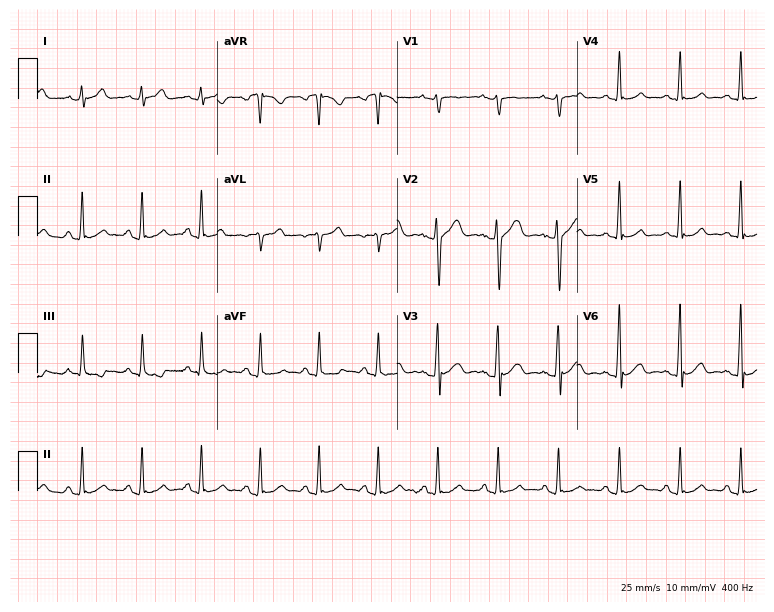
Standard 12-lead ECG recorded from a male patient, 24 years old. None of these six findings is recorded: first-degree AV block, right bundle branch block, left bundle branch block, sinus bradycardia, atrial fibrillation, sinus tachycardia.